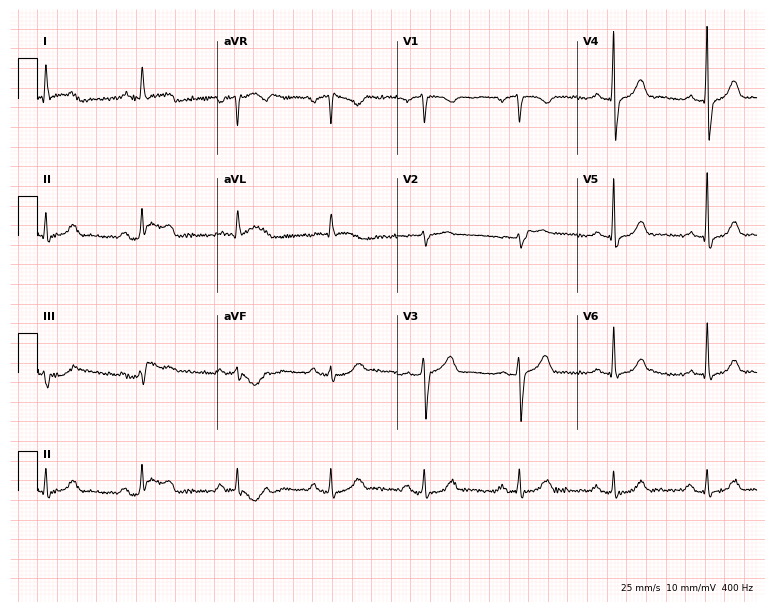
Resting 12-lead electrocardiogram. Patient: a male, 74 years old. Read as a normal ECG.